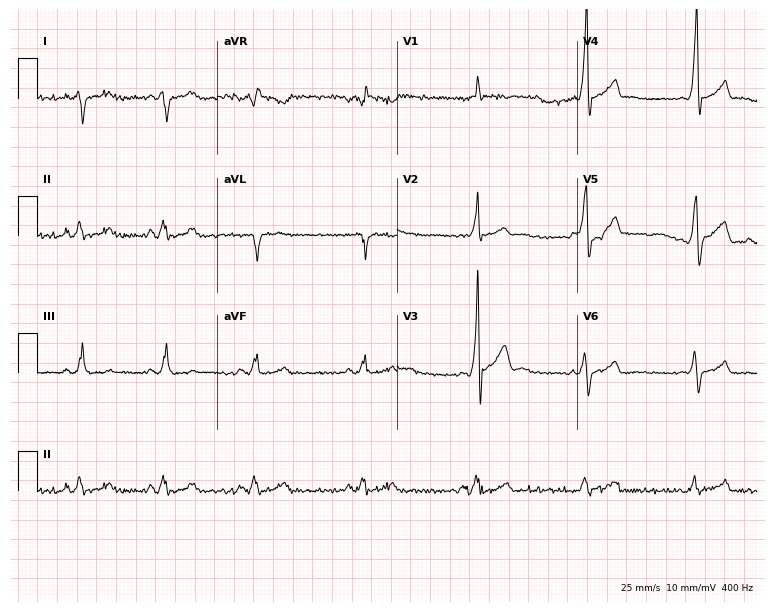
Resting 12-lead electrocardiogram (7.3-second recording at 400 Hz). Patient: a 31-year-old male. None of these six findings is recorded: first-degree AV block, right bundle branch block (RBBB), left bundle branch block (LBBB), sinus bradycardia, atrial fibrillation (AF), sinus tachycardia. Only these six findings were labelled.